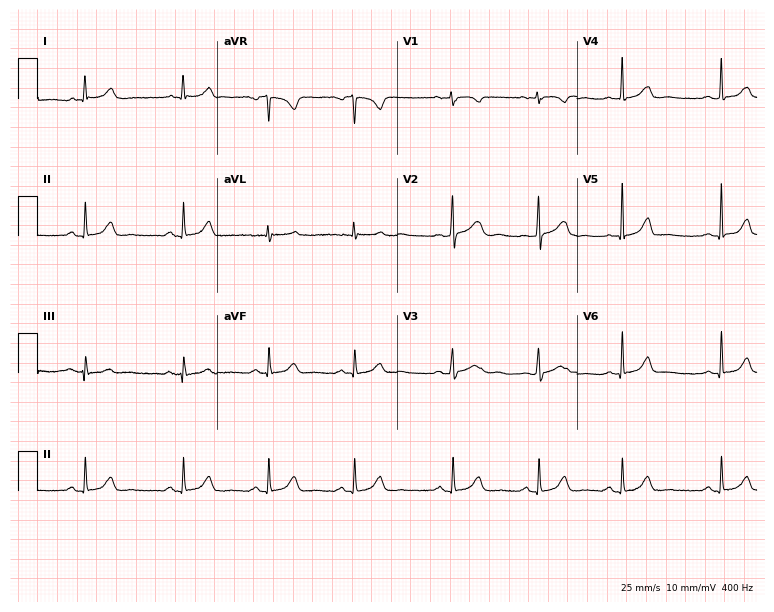
12-lead ECG from a female, 19 years old. No first-degree AV block, right bundle branch block (RBBB), left bundle branch block (LBBB), sinus bradycardia, atrial fibrillation (AF) or sinus tachycardia recorded for this tracing.